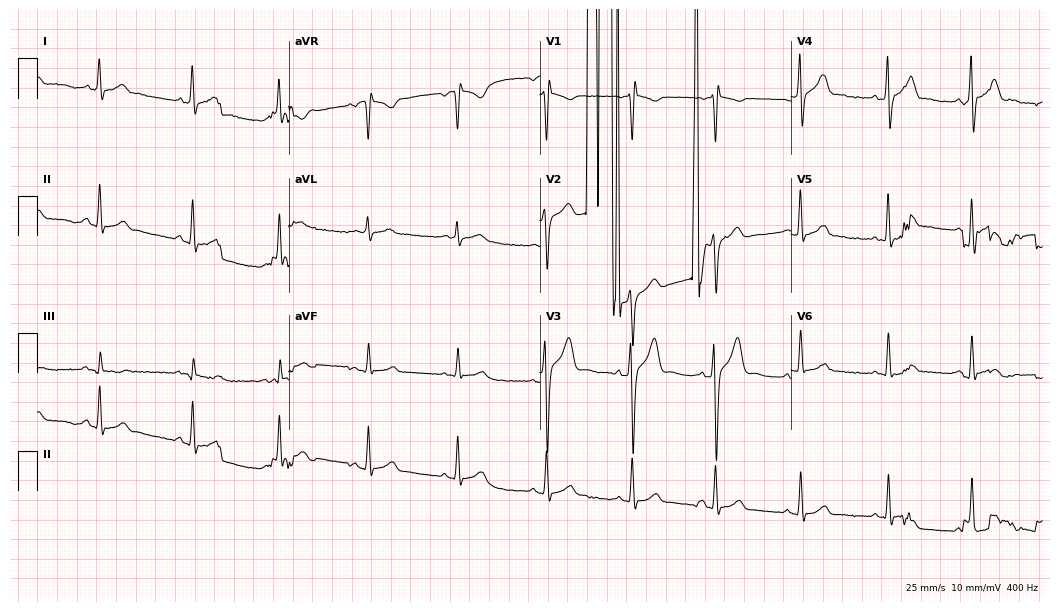
Resting 12-lead electrocardiogram. Patient: a man, 27 years old. None of these six findings is recorded: first-degree AV block, right bundle branch block (RBBB), left bundle branch block (LBBB), sinus bradycardia, atrial fibrillation (AF), sinus tachycardia.